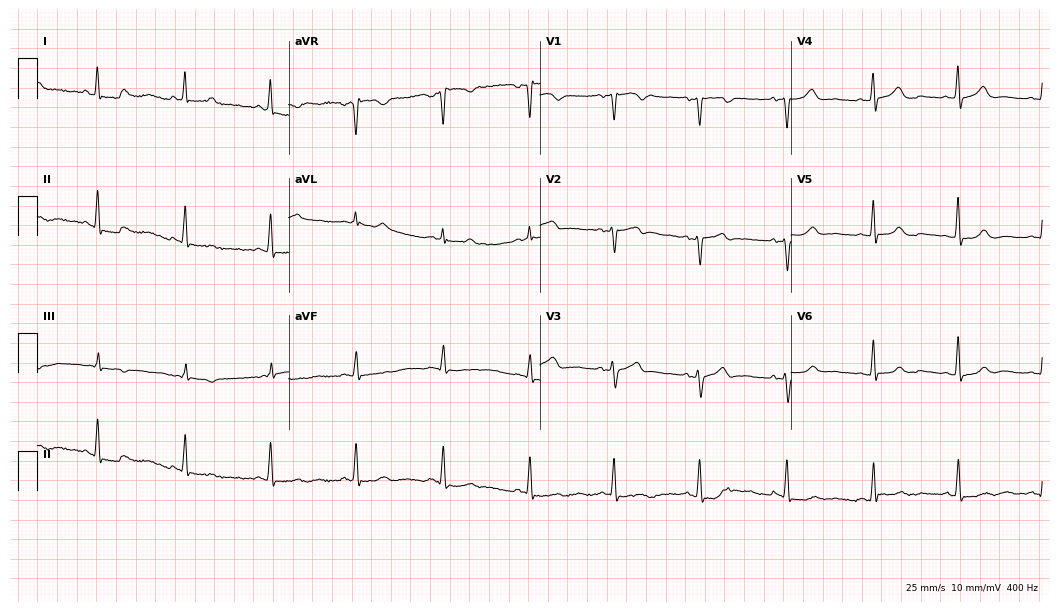
Electrocardiogram (10.2-second recording at 400 Hz), a 48-year-old female patient. Overall reading on record: normal ECG.